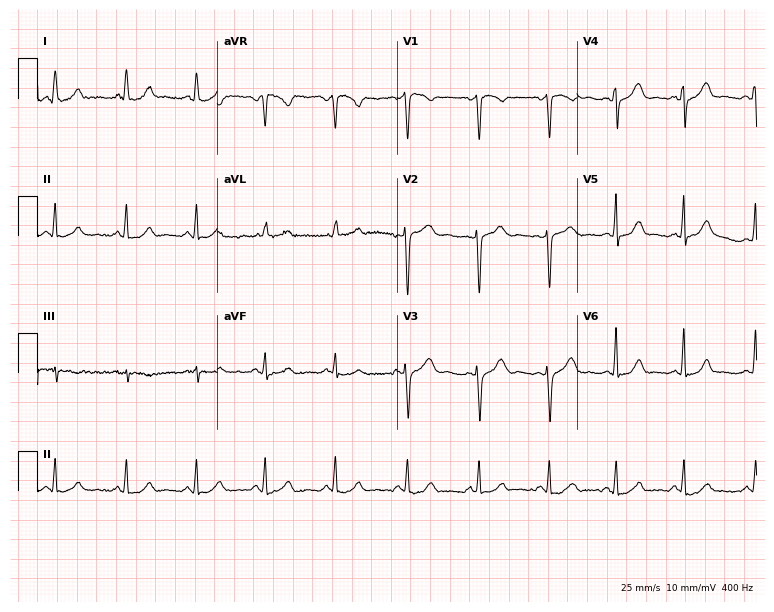
Standard 12-lead ECG recorded from a 26-year-old woman. Read as a normal ECG.